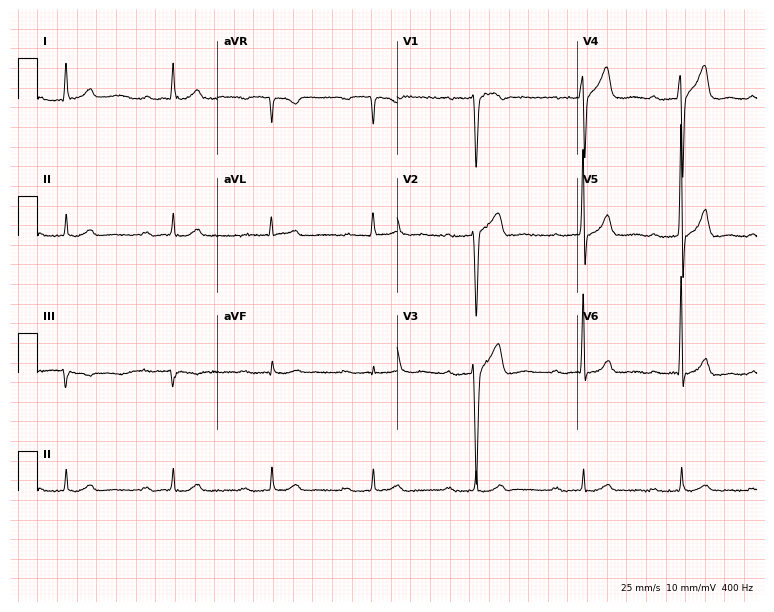
12-lead ECG from a man, 65 years old. Shows first-degree AV block.